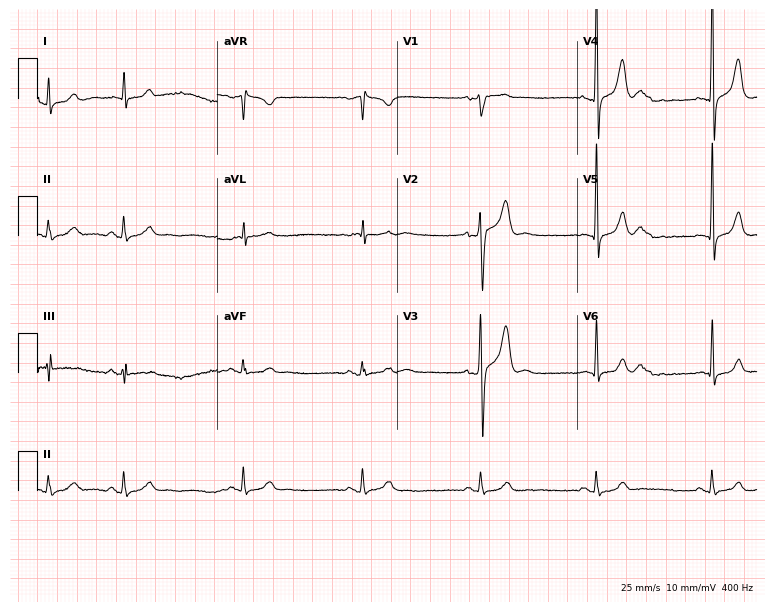
ECG (7.3-second recording at 400 Hz) — a male, 71 years old. Screened for six findings — first-degree AV block, right bundle branch block (RBBB), left bundle branch block (LBBB), sinus bradycardia, atrial fibrillation (AF), sinus tachycardia — none is recorded.